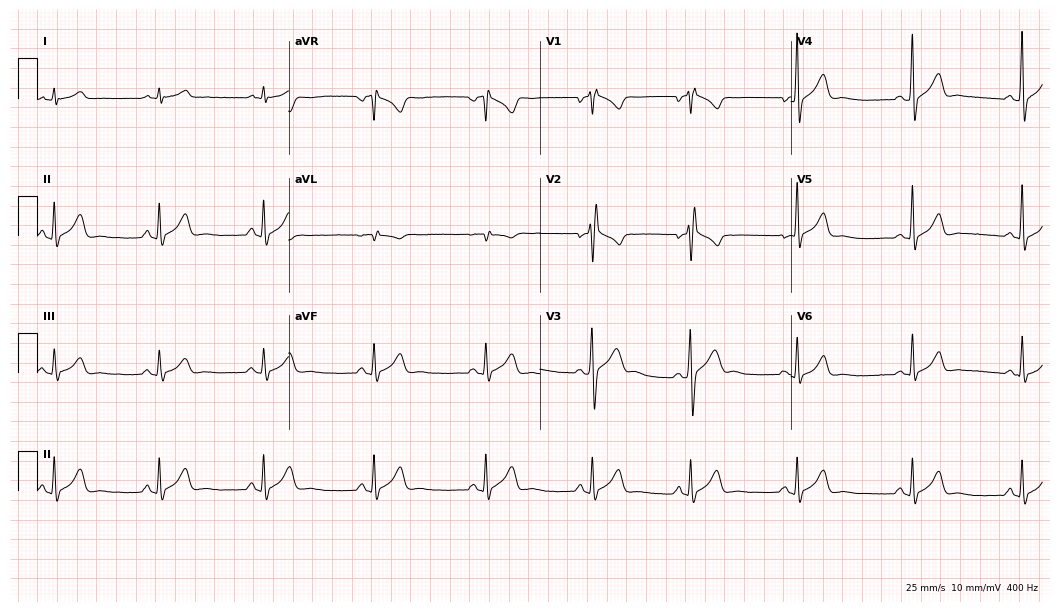
Resting 12-lead electrocardiogram. Patient: a 21-year-old male. None of these six findings is recorded: first-degree AV block, right bundle branch block (RBBB), left bundle branch block (LBBB), sinus bradycardia, atrial fibrillation (AF), sinus tachycardia.